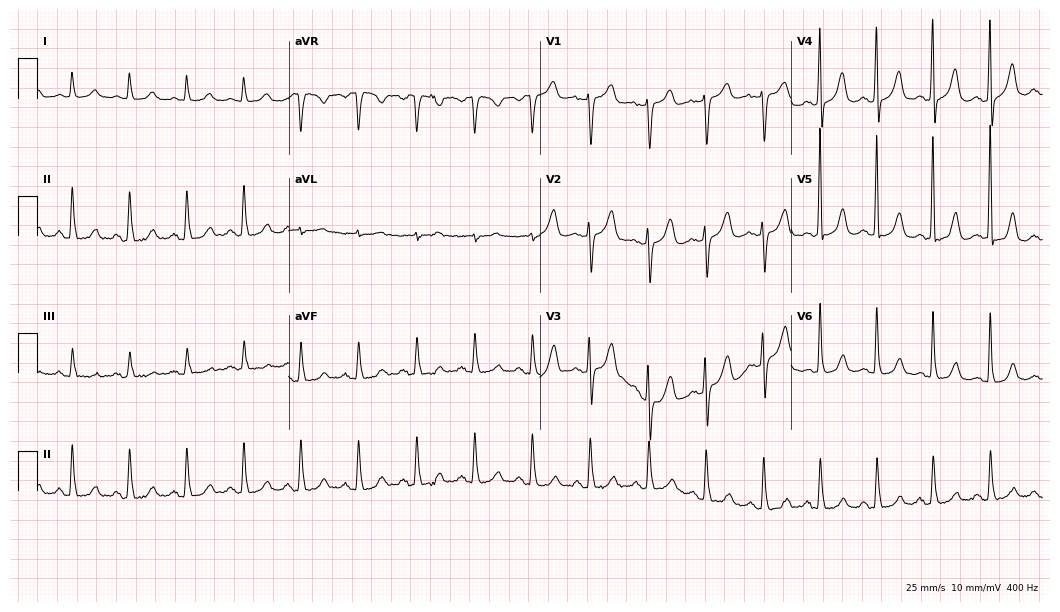
12-lead ECG from an 84-year-old woman. Shows sinus tachycardia (a sinus rate of 100 beats per minute or more).